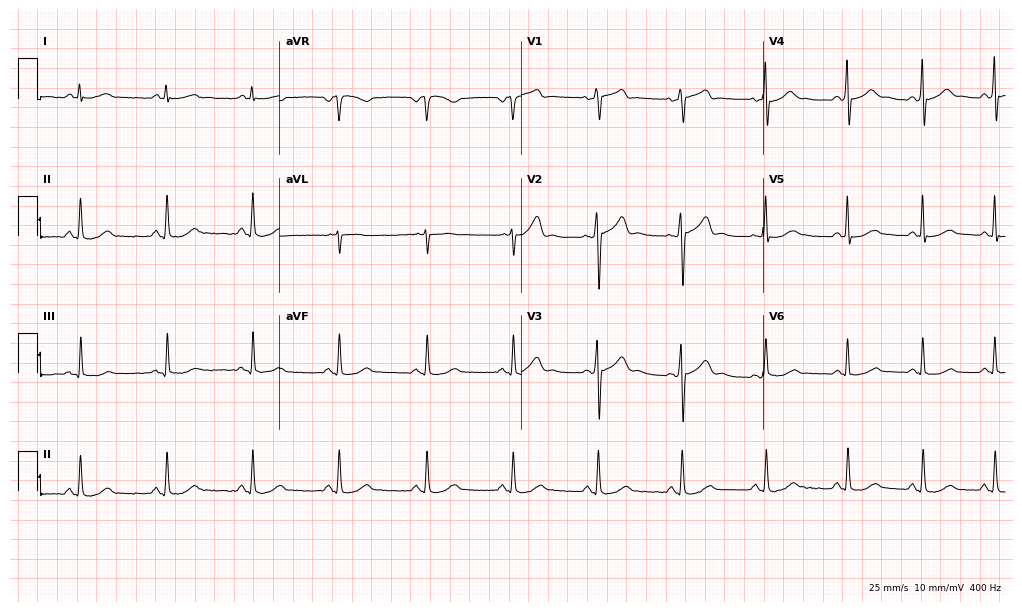
Standard 12-lead ECG recorded from a 51-year-old male (9.9-second recording at 400 Hz). None of these six findings is recorded: first-degree AV block, right bundle branch block, left bundle branch block, sinus bradycardia, atrial fibrillation, sinus tachycardia.